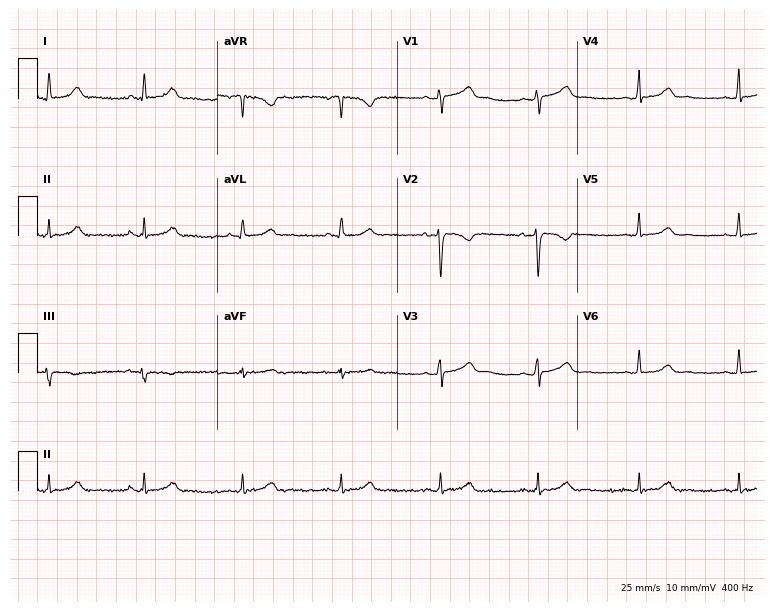
Standard 12-lead ECG recorded from a 37-year-old female (7.3-second recording at 400 Hz). None of these six findings is recorded: first-degree AV block, right bundle branch block, left bundle branch block, sinus bradycardia, atrial fibrillation, sinus tachycardia.